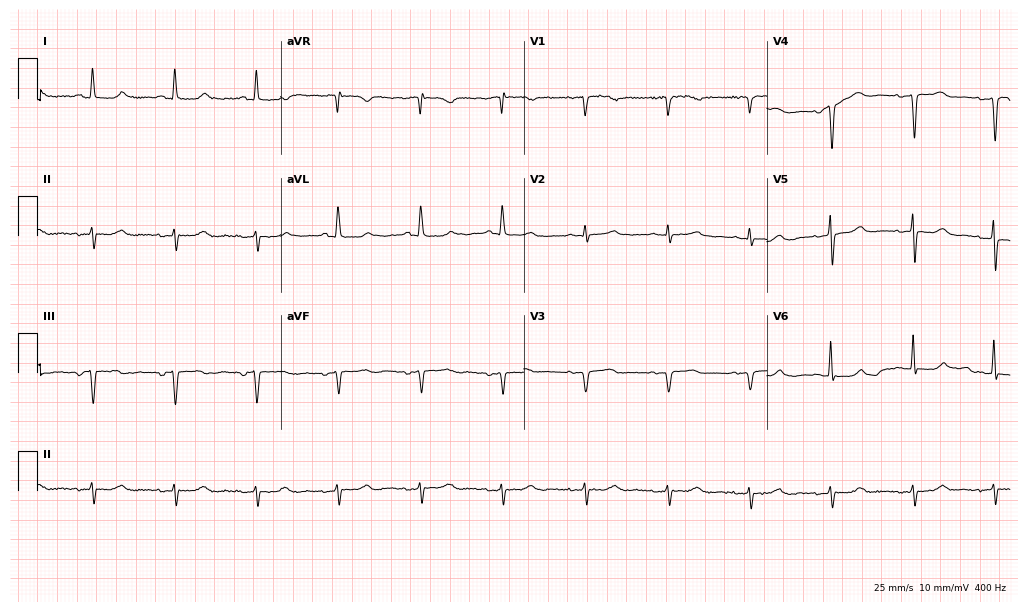
Electrocardiogram, a female, 75 years old. Of the six screened findings (first-degree AV block, right bundle branch block (RBBB), left bundle branch block (LBBB), sinus bradycardia, atrial fibrillation (AF), sinus tachycardia), none is recorded.